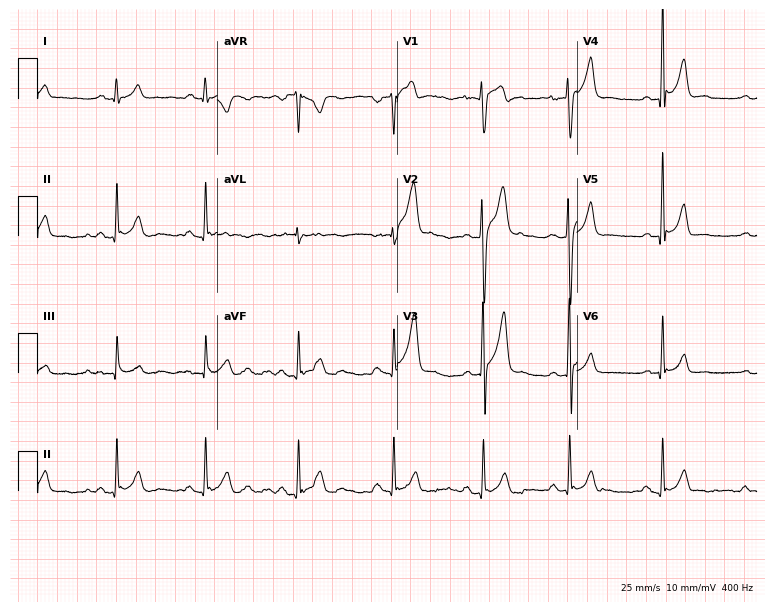
Standard 12-lead ECG recorded from a 20-year-old man. Read as a normal ECG.